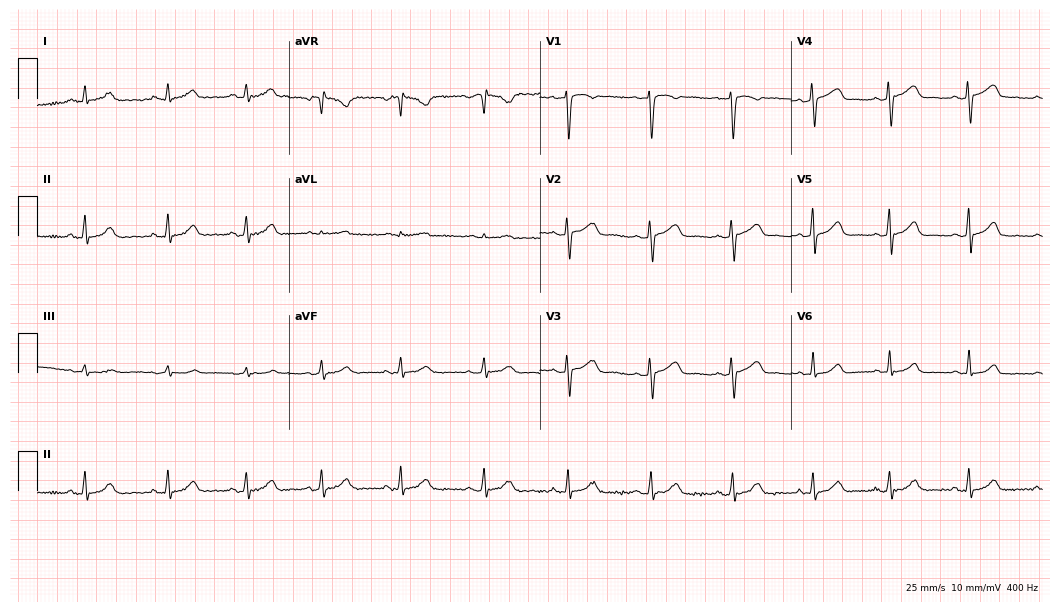
ECG (10.2-second recording at 400 Hz) — a female patient, 34 years old. Labelled as a normal ECG.